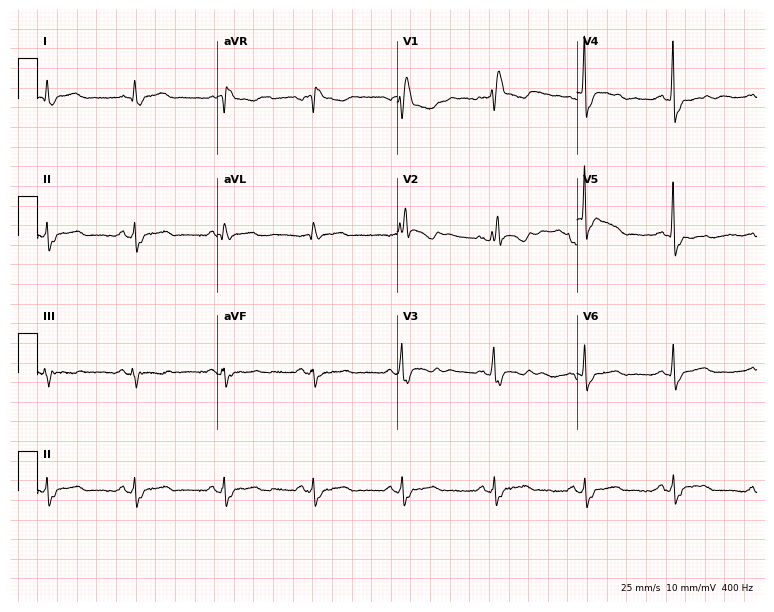
Electrocardiogram, a male, 61 years old. Interpretation includes right bundle branch block.